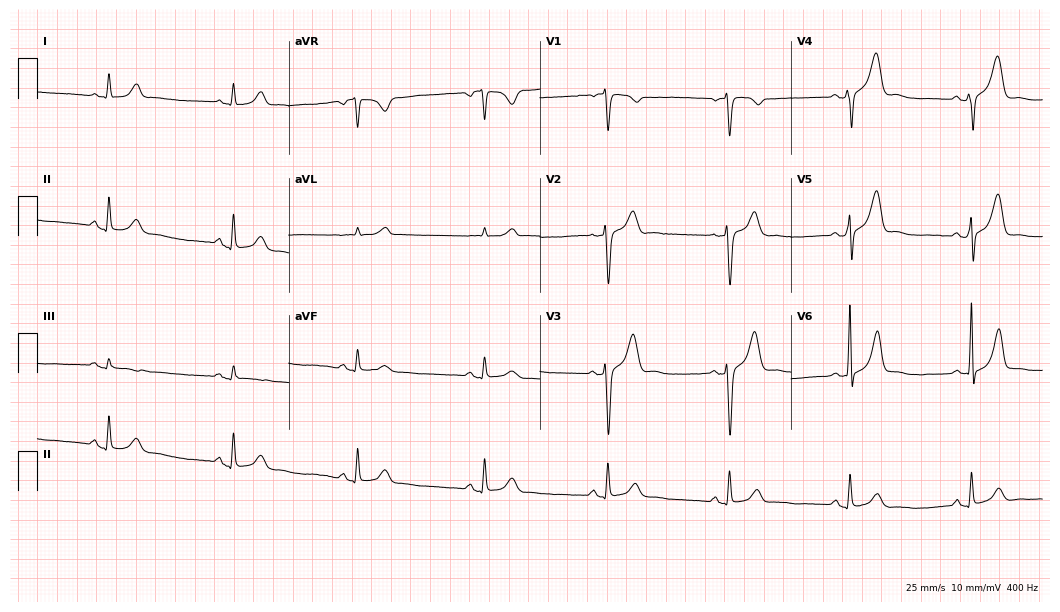
Electrocardiogram (10.2-second recording at 400 Hz), a 51-year-old man. Interpretation includes sinus bradycardia (a sinus rate of 50 beats per minute or less).